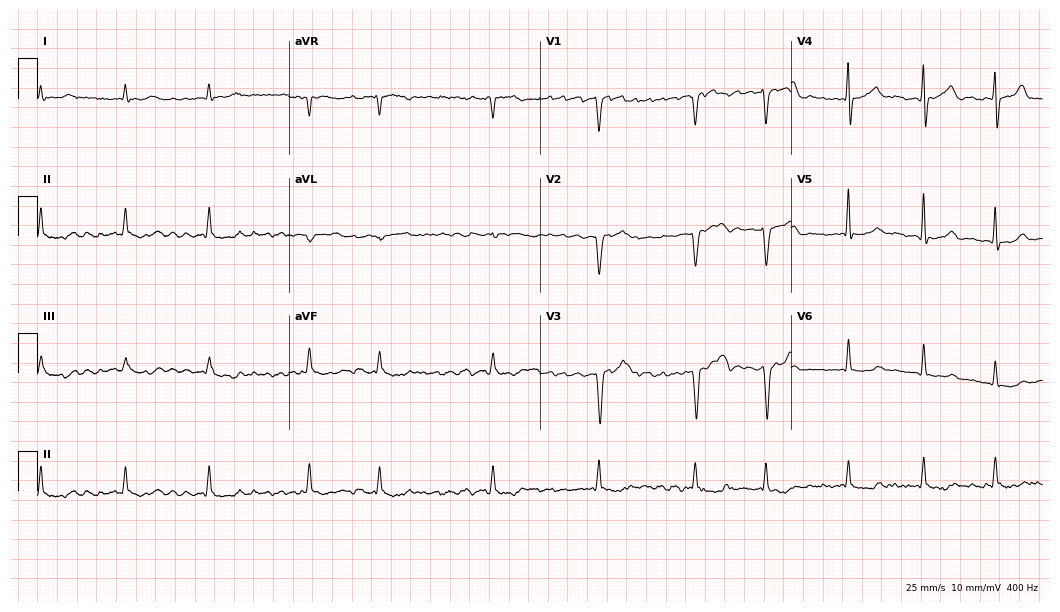
Electrocardiogram (10.2-second recording at 400 Hz), a male, 73 years old. Interpretation includes atrial fibrillation.